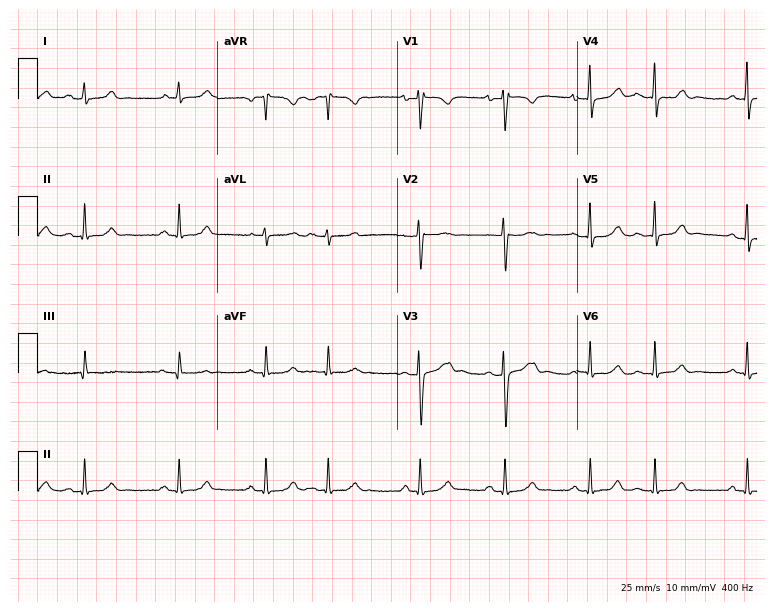
12-lead ECG from a female, 30 years old (7.3-second recording at 400 Hz). Recorded interpretation: within normal limits.